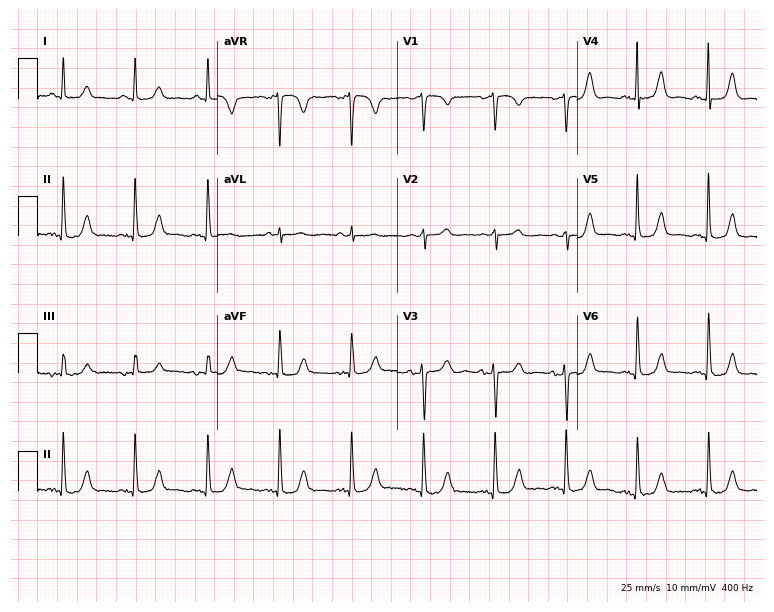
12-lead ECG from an 84-year-old female patient (7.3-second recording at 400 Hz). Recorded interpretation: within normal limits.